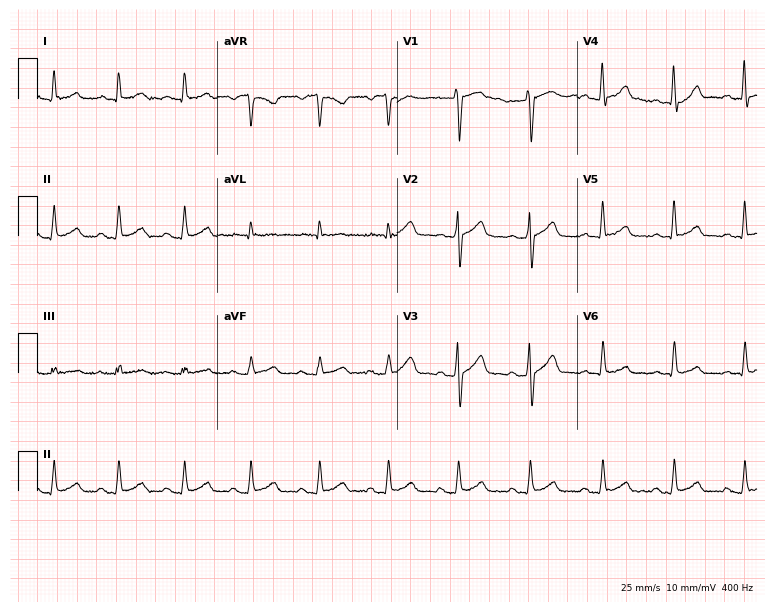
12-lead ECG (7.3-second recording at 400 Hz) from a male, 36 years old. Labelled as a normal ECG.